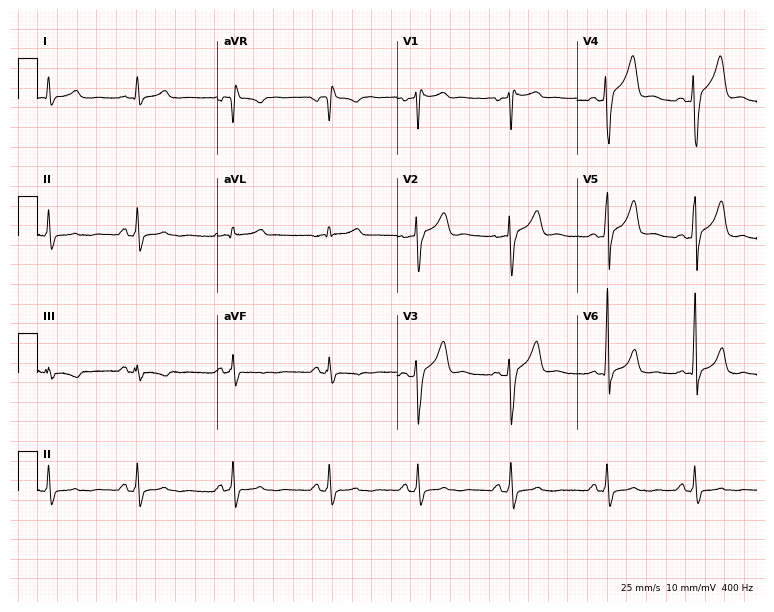
Resting 12-lead electrocardiogram (7.3-second recording at 400 Hz). Patient: a 29-year-old male. Read as a normal ECG.